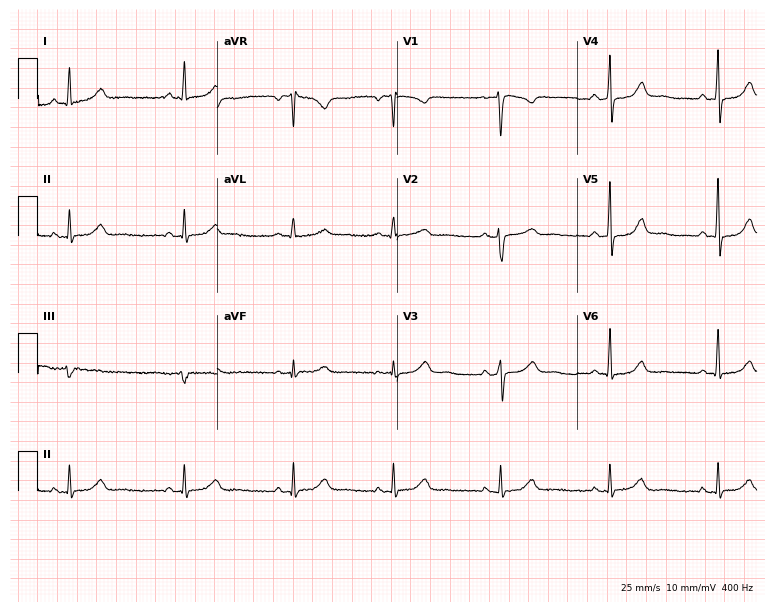
12-lead ECG from a 49-year-old female. Recorded interpretation: within normal limits.